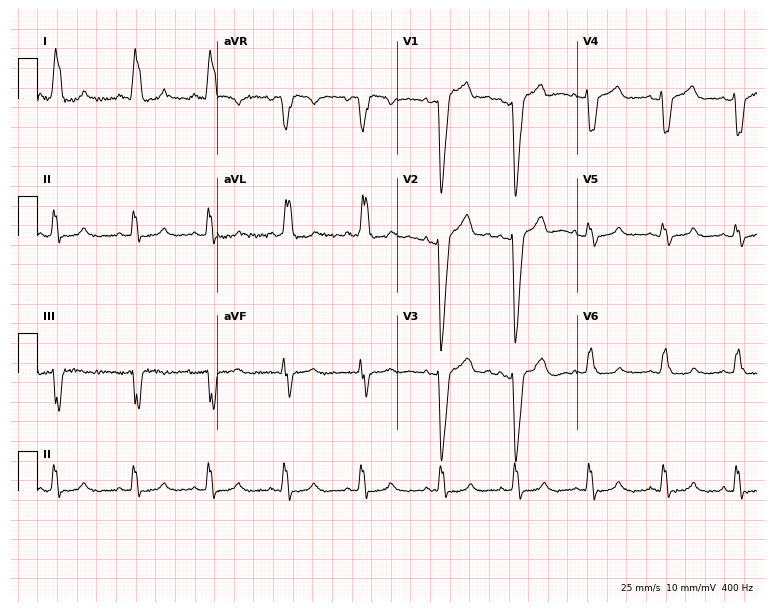
ECG — a 36-year-old female. Findings include left bundle branch block.